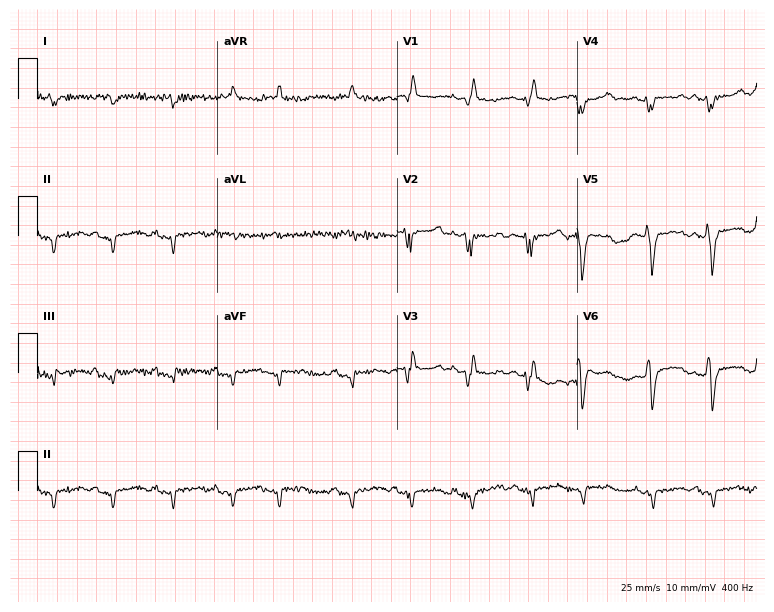
Resting 12-lead electrocardiogram (7.3-second recording at 400 Hz). Patient: a 67-year-old male. The tracing shows right bundle branch block.